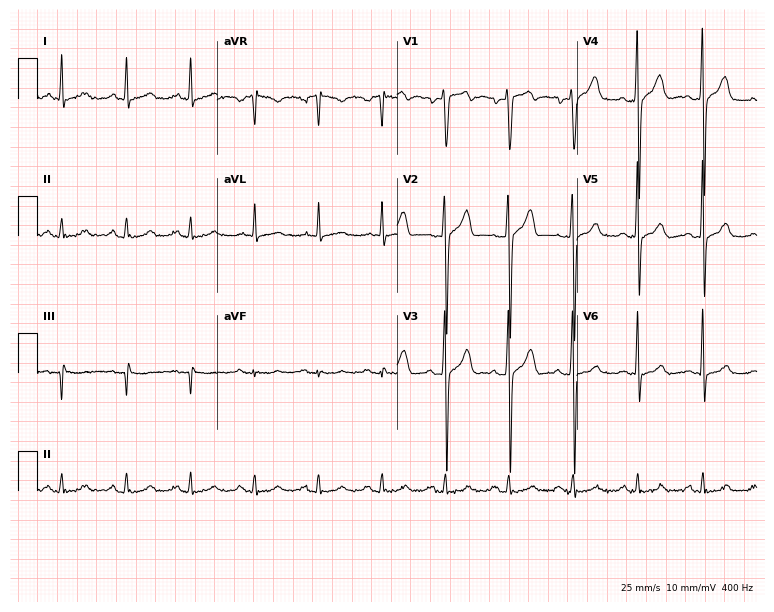
Electrocardiogram (7.3-second recording at 400 Hz), a 48-year-old male patient. Of the six screened findings (first-degree AV block, right bundle branch block, left bundle branch block, sinus bradycardia, atrial fibrillation, sinus tachycardia), none is recorded. Only these six findings were labelled.